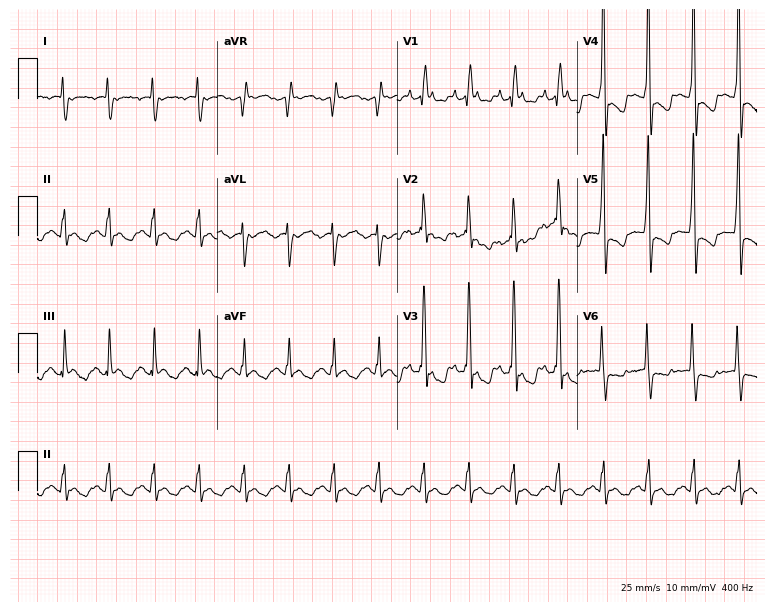
ECG — a 48-year-old female patient. Screened for six findings — first-degree AV block, right bundle branch block (RBBB), left bundle branch block (LBBB), sinus bradycardia, atrial fibrillation (AF), sinus tachycardia — none is recorded. Only these six findings were labelled.